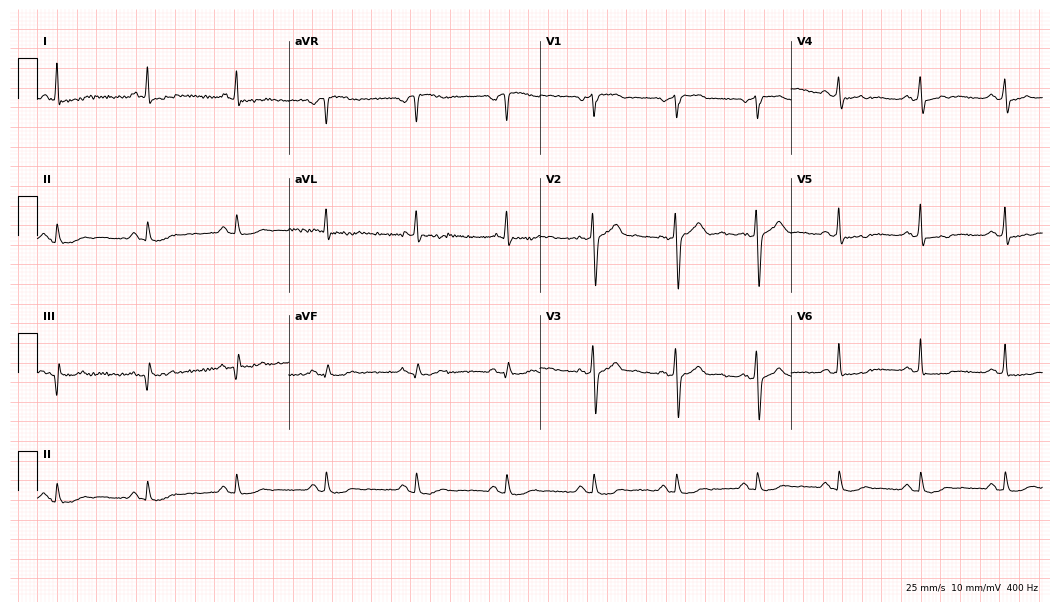
ECG — a 49-year-old male. Screened for six findings — first-degree AV block, right bundle branch block (RBBB), left bundle branch block (LBBB), sinus bradycardia, atrial fibrillation (AF), sinus tachycardia — none is recorded.